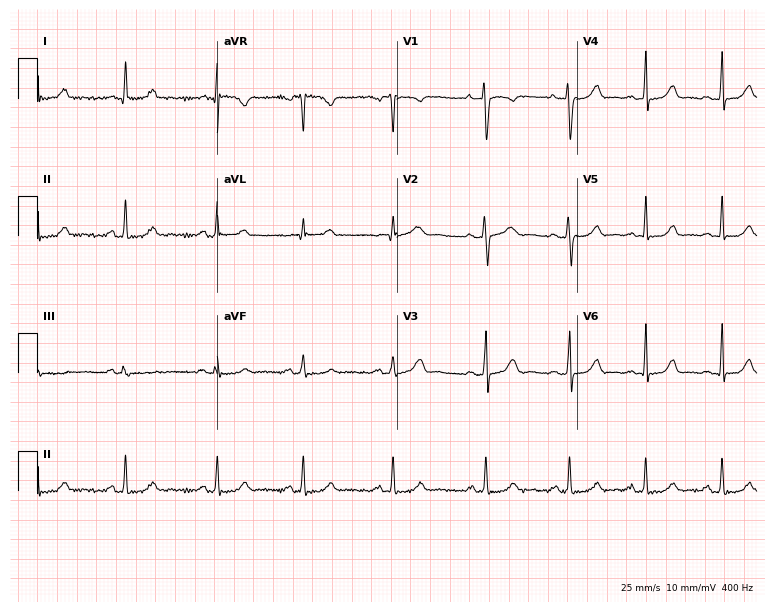
ECG — a female, 29 years old. Screened for six findings — first-degree AV block, right bundle branch block, left bundle branch block, sinus bradycardia, atrial fibrillation, sinus tachycardia — none is recorded. Other findings, if any, are not listed.